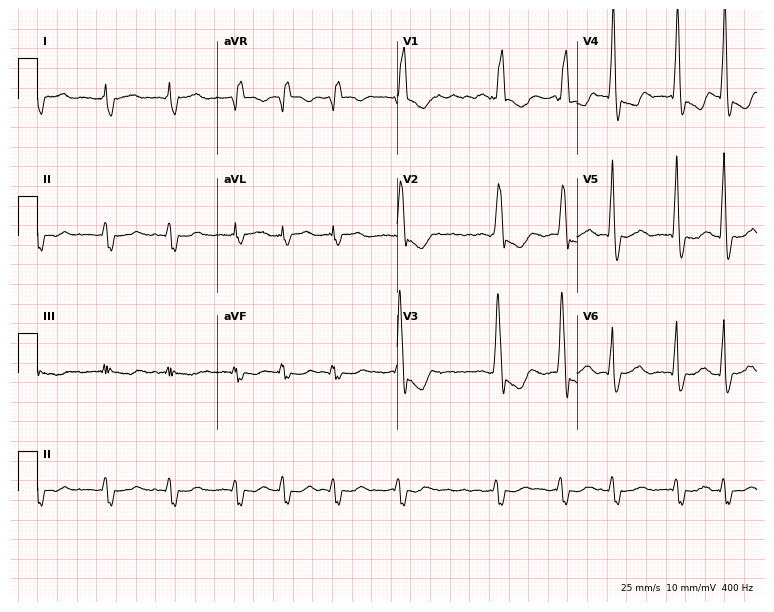
Resting 12-lead electrocardiogram (7.3-second recording at 400 Hz). Patient: a 67-year-old man. The tracing shows right bundle branch block, atrial fibrillation.